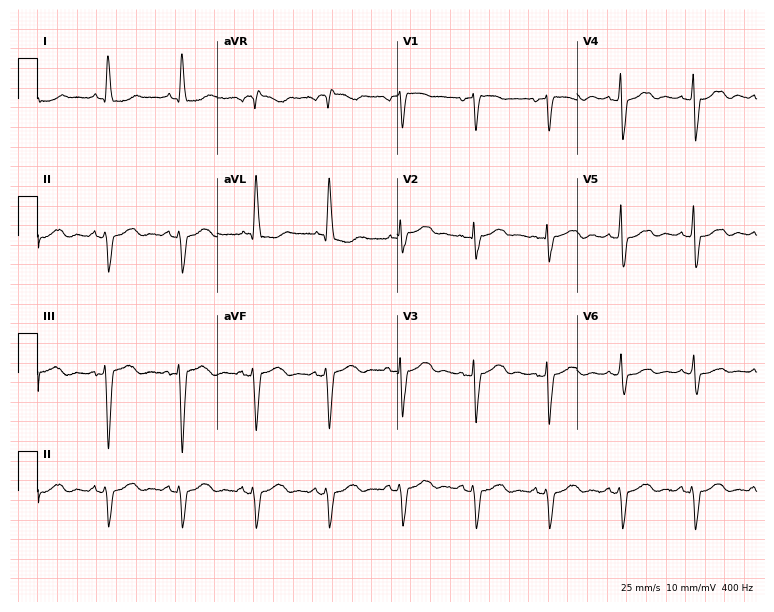
12-lead ECG (7.3-second recording at 400 Hz) from a woman, 83 years old. Screened for six findings — first-degree AV block, right bundle branch block, left bundle branch block, sinus bradycardia, atrial fibrillation, sinus tachycardia — none is recorded. Only these six findings were labelled.